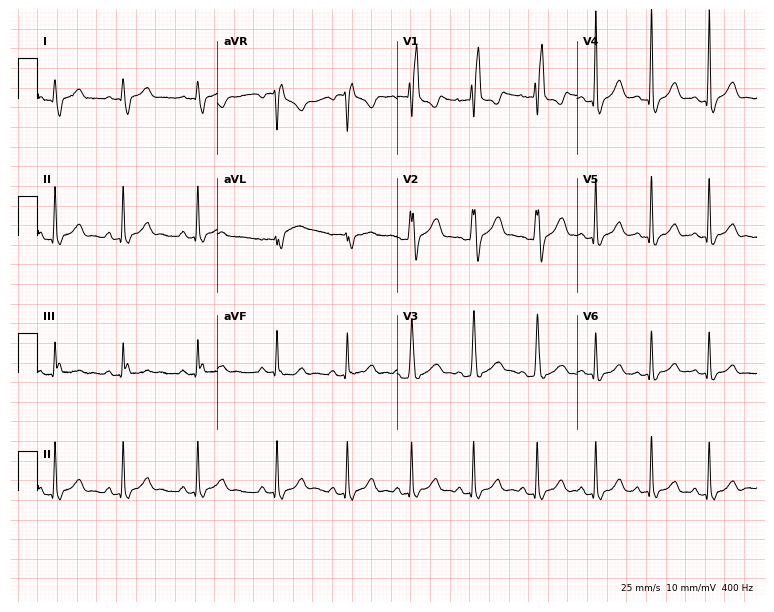
Resting 12-lead electrocardiogram (7.3-second recording at 400 Hz). Patient: a 33-year-old male. The tracing shows right bundle branch block.